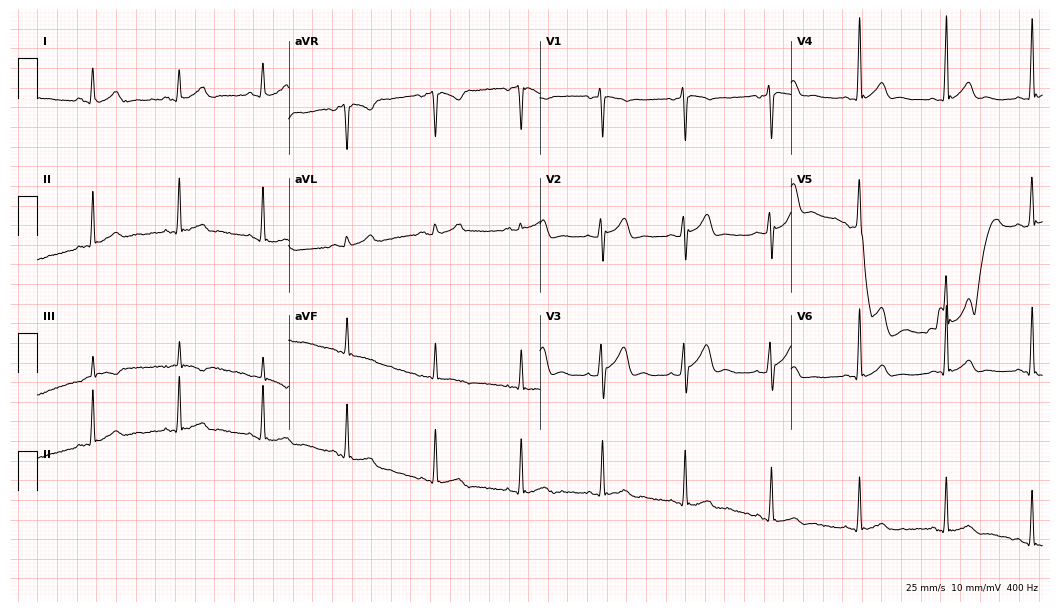
12-lead ECG from a 29-year-old male patient. No first-degree AV block, right bundle branch block (RBBB), left bundle branch block (LBBB), sinus bradycardia, atrial fibrillation (AF) or sinus tachycardia recorded for this tracing.